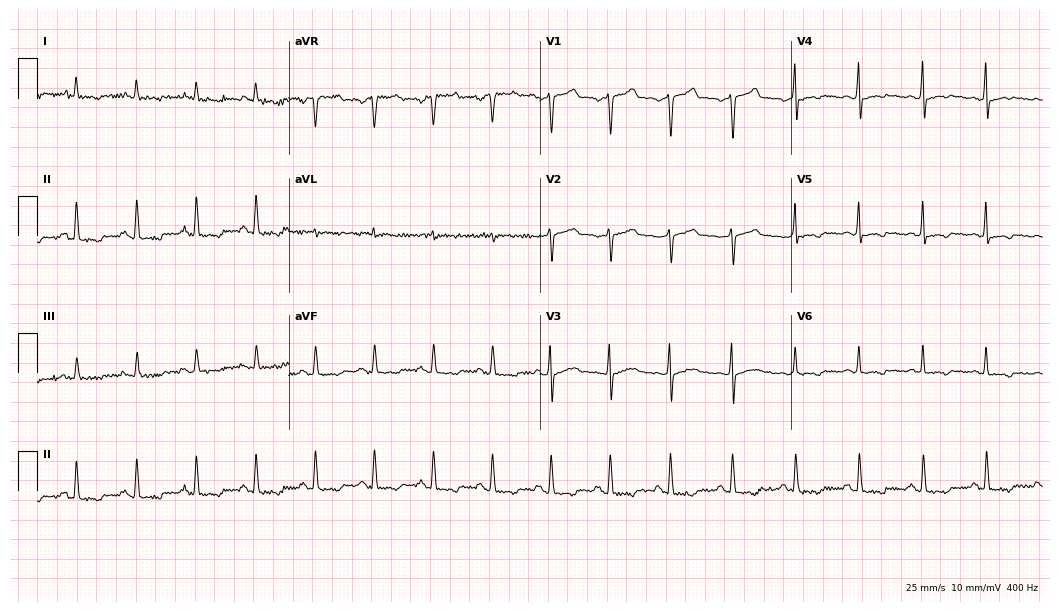
12-lead ECG (10.2-second recording at 400 Hz) from a 37-year-old man. Screened for six findings — first-degree AV block, right bundle branch block, left bundle branch block, sinus bradycardia, atrial fibrillation, sinus tachycardia — none is recorded. Other findings, if any, are not listed.